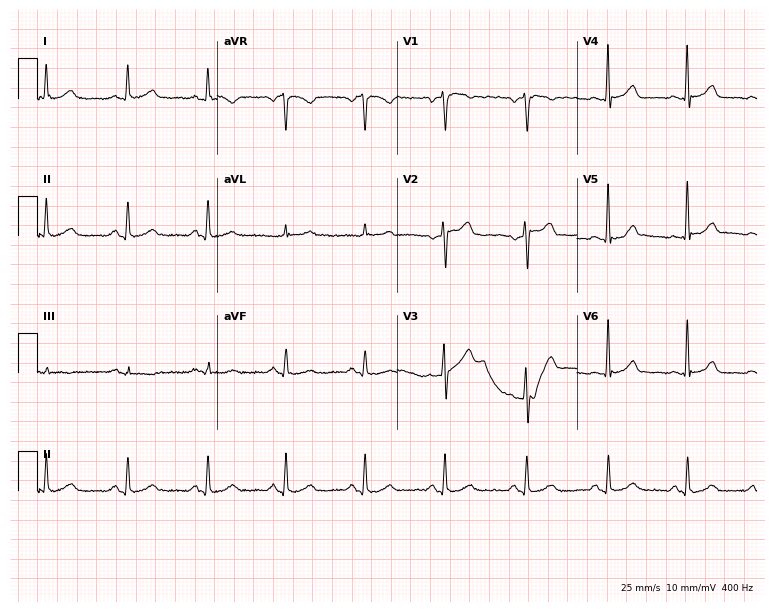
Resting 12-lead electrocardiogram. Patient: a woman, 49 years old. None of these six findings is recorded: first-degree AV block, right bundle branch block, left bundle branch block, sinus bradycardia, atrial fibrillation, sinus tachycardia.